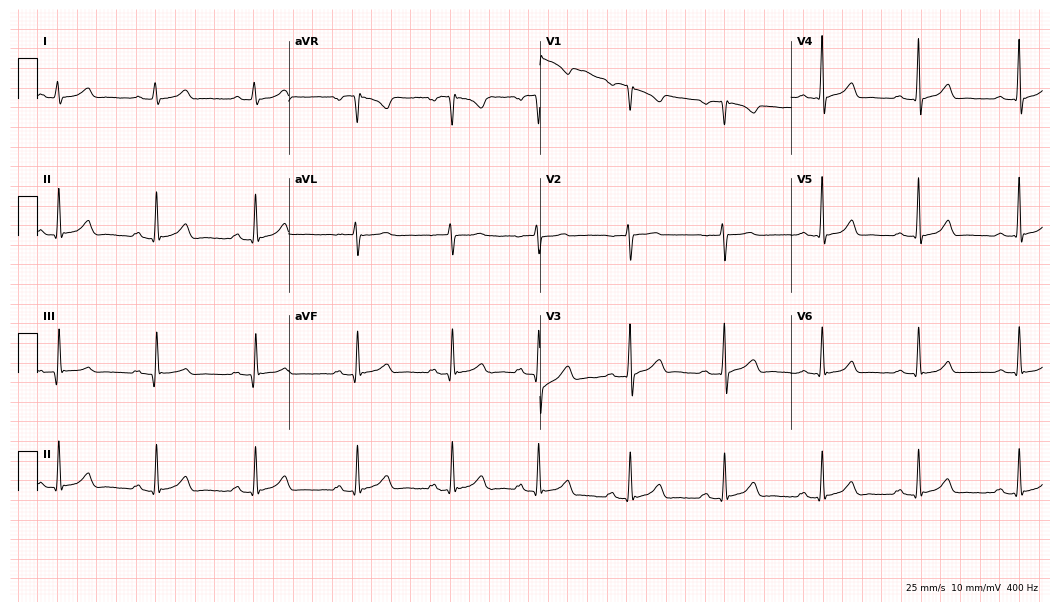
12-lead ECG from a male, 27 years old (10.2-second recording at 400 Hz). Recorded interpretation: within normal limits.